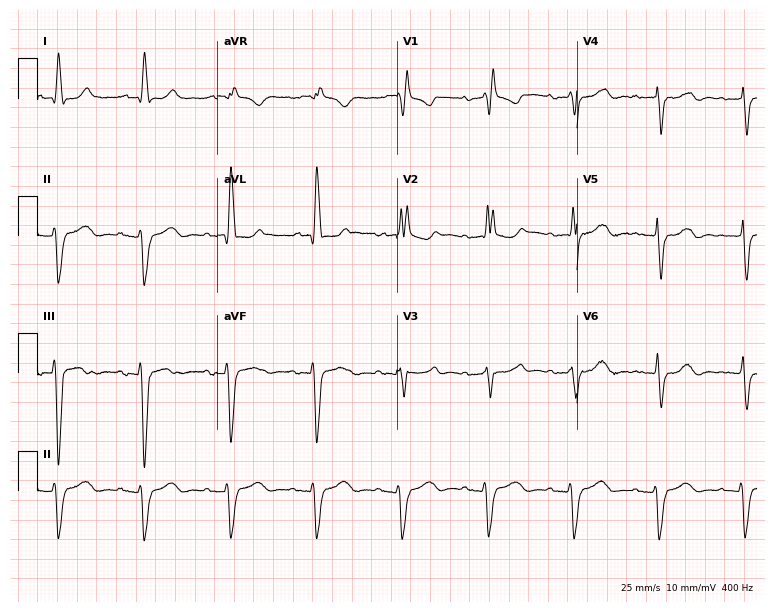
Resting 12-lead electrocardiogram (7.3-second recording at 400 Hz). Patient: a 77-year-old male. None of these six findings is recorded: first-degree AV block, right bundle branch block, left bundle branch block, sinus bradycardia, atrial fibrillation, sinus tachycardia. Other findings, if any, are not listed.